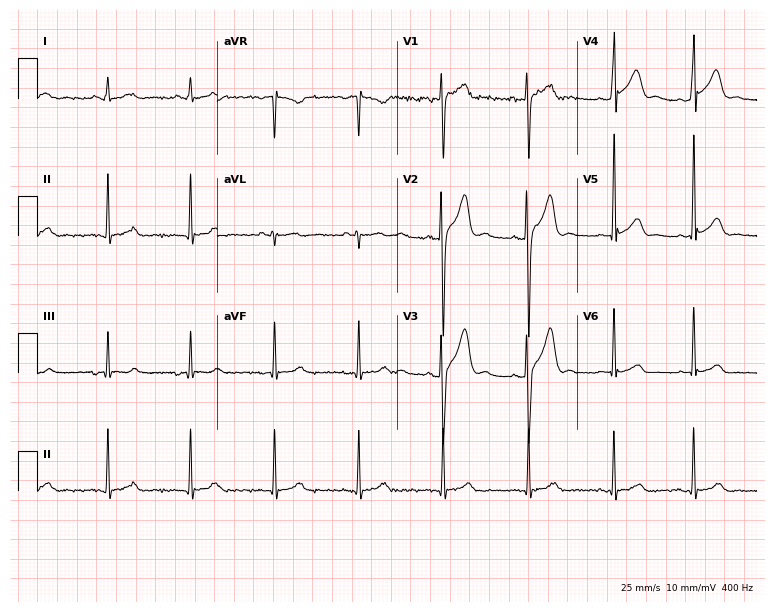
Resting 12-lead electrocardiogram (7.3-second recording at 400 Hz). Patient: a male, 27 years old. Read as a normal ECG.